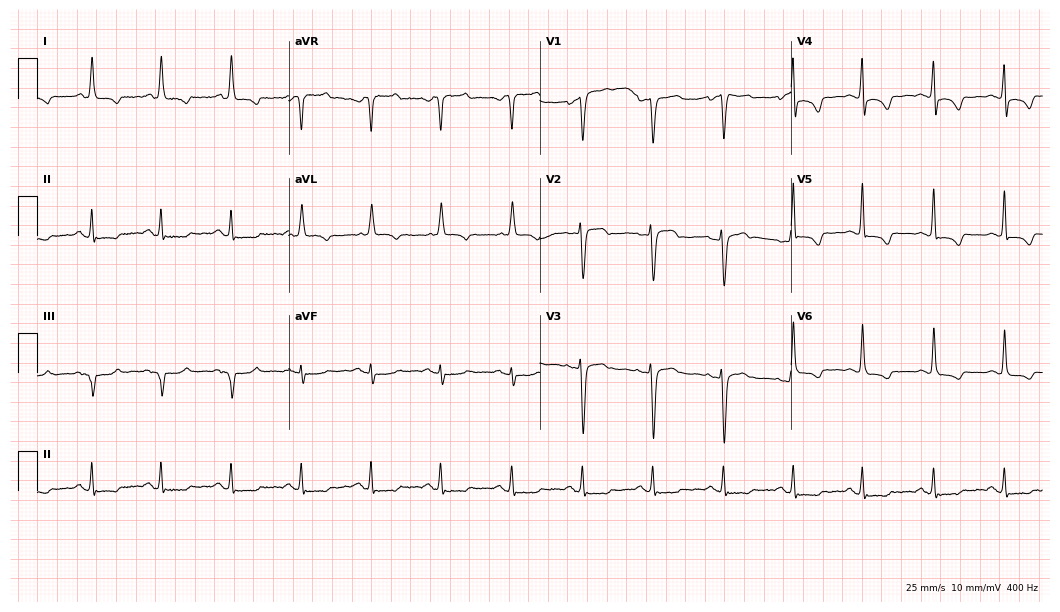
Standard 12-lead ECG recorded from a 68-year-old woman. None of these six findings is recorded: first-degree AV block, right bundle branch block, left bundle branch block, sinus bradycardia, atrial fibrillation, sinus tachycardia. Findings outside these six are not listed.